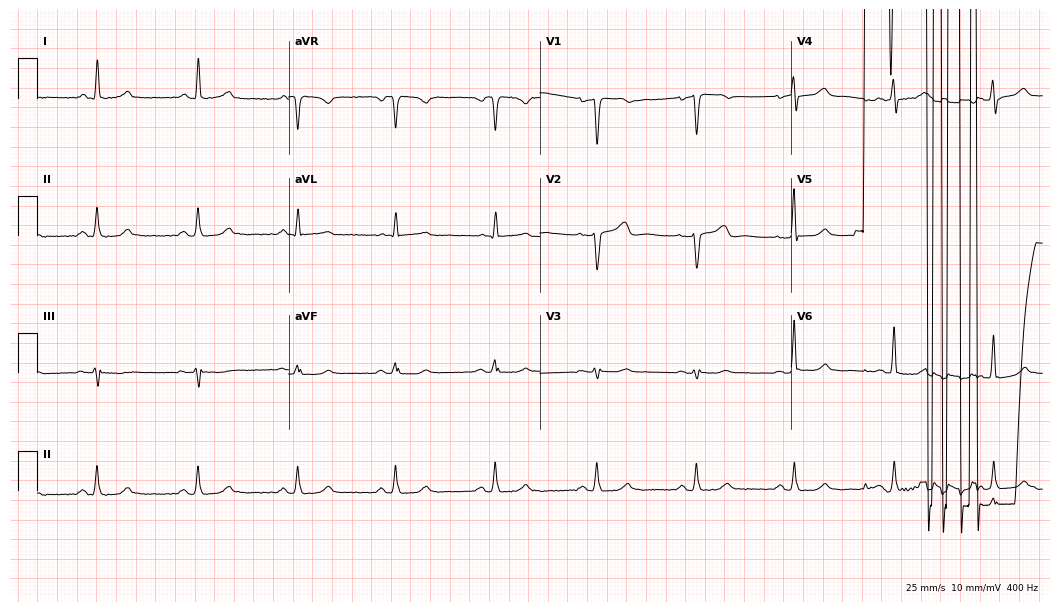
ECG — a 61-year-old female patient. Screened for six findings — first-degree AV block, right bundle branch block, left bundle branch block, sinus bradycardia, atrial fibrillation, sinus tachycardia — none is recorded. Other findings, if any, are not listed.